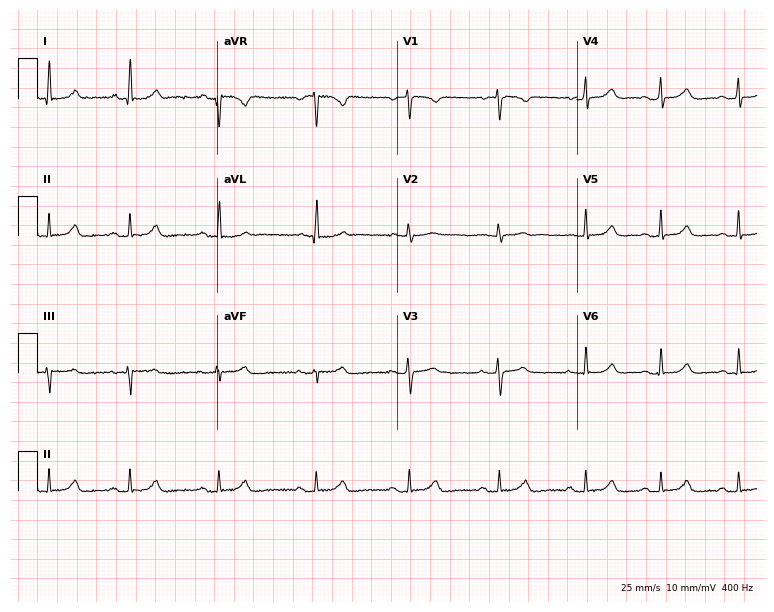
12-lead ECG (7.3-second recording at 400 Hz) from a female, 23 years old. Labelled as a normal ECG.